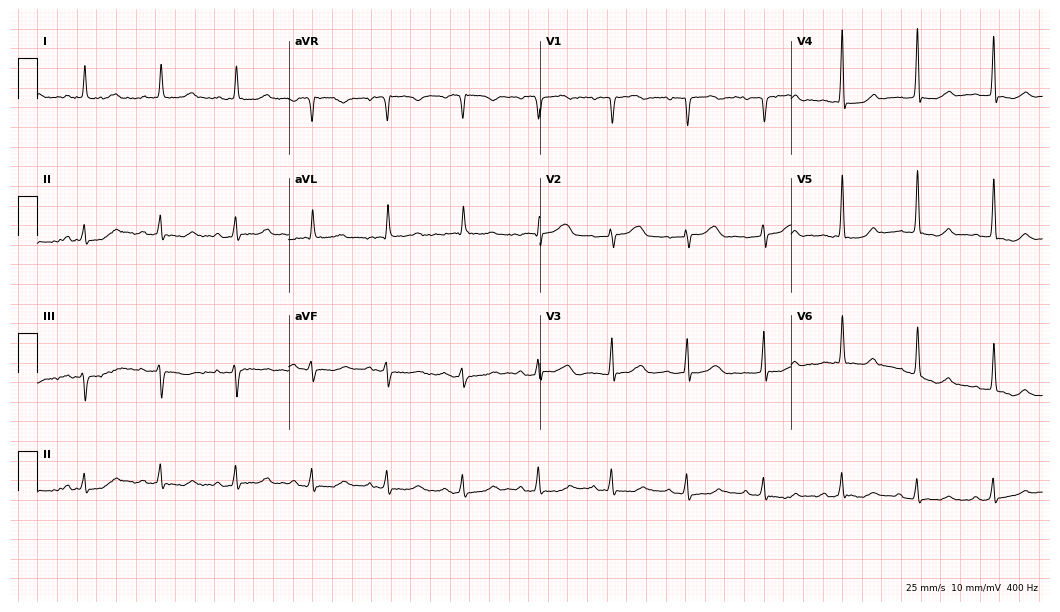
12-lead ECG from a female, 63 years old (10.2-second recording at 400 Hz). No first-degree AV block, right bundle branch block, left bundle branch block, sinus bradycardia, atrial fibrillation or sinus tachycardia recorded for this tracing. Findings outside these six are not listed.